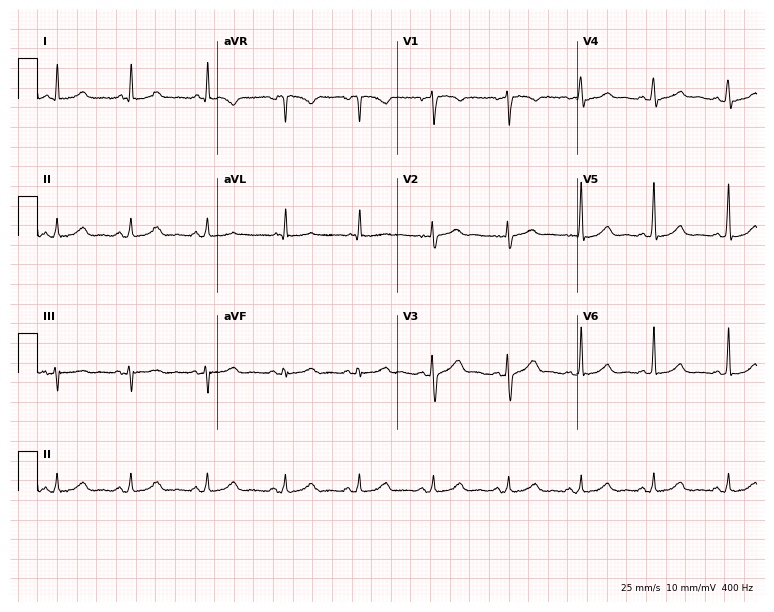
Resting 12-lead electrocardiogram (7.3-second recording at 400 Hz). Patient: a 49-year-old female. Read as a normal ECG.